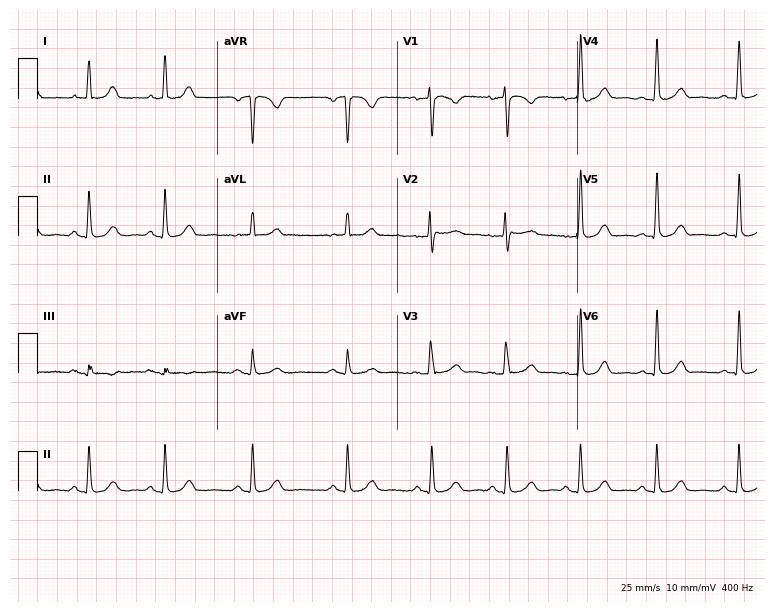
Standard 12-lead ECG recorded from a 44-year-old woman. None of these six findings is recorded: first-degree AV block, right bundle branch block, left bundle branch block, sinus bradycardia, atrial fibrillation, sinus tachycardia. Findings outside these six are not listed.